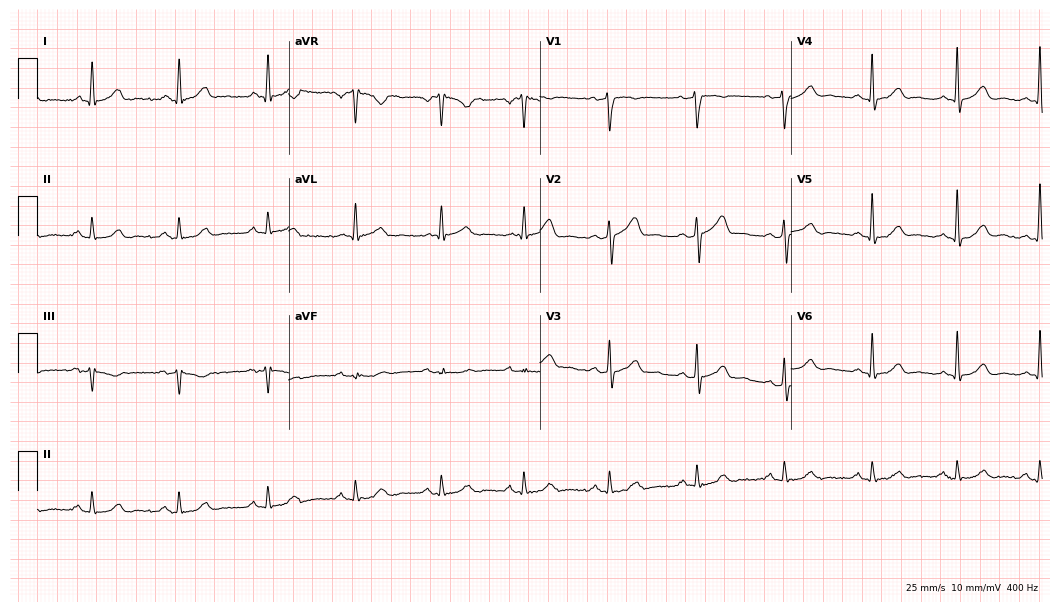
12-lead ECG from a male, 51 years old (10.2-second recording at 400 Hz). Recorded interpretation: within normal limits.